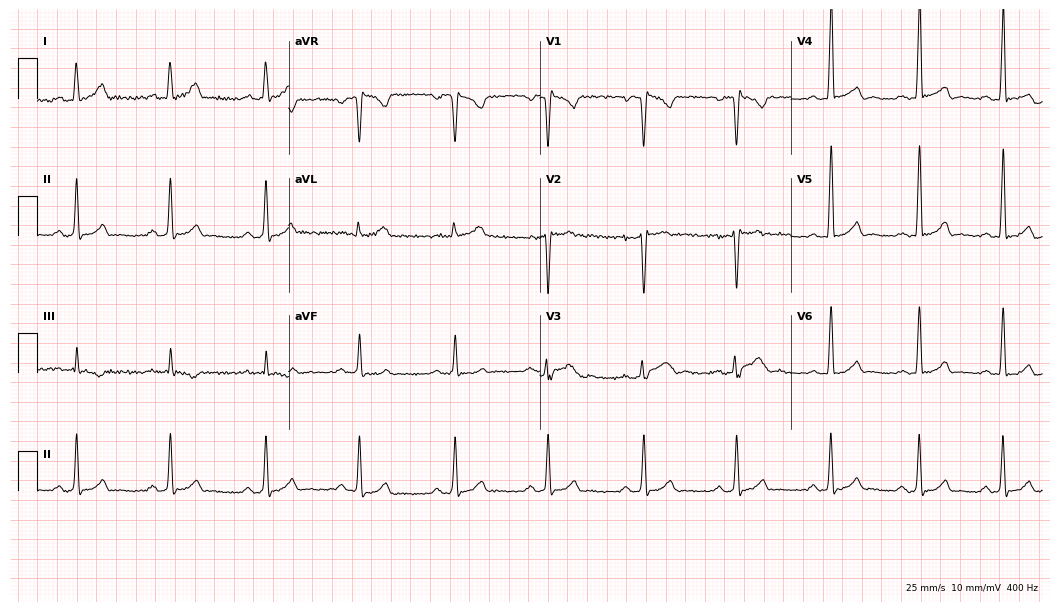
12-lead ECG from a man, 39 years old. Labelled as a normal ECG.